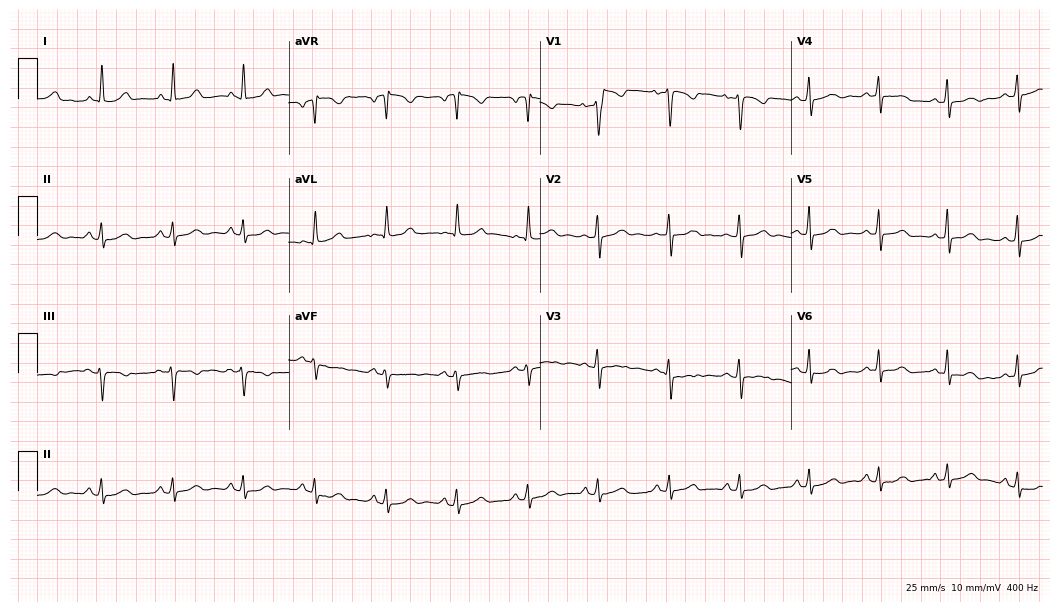
12-lead ECG from a female, 45 years old. Recorded interpretation: within normal limits.